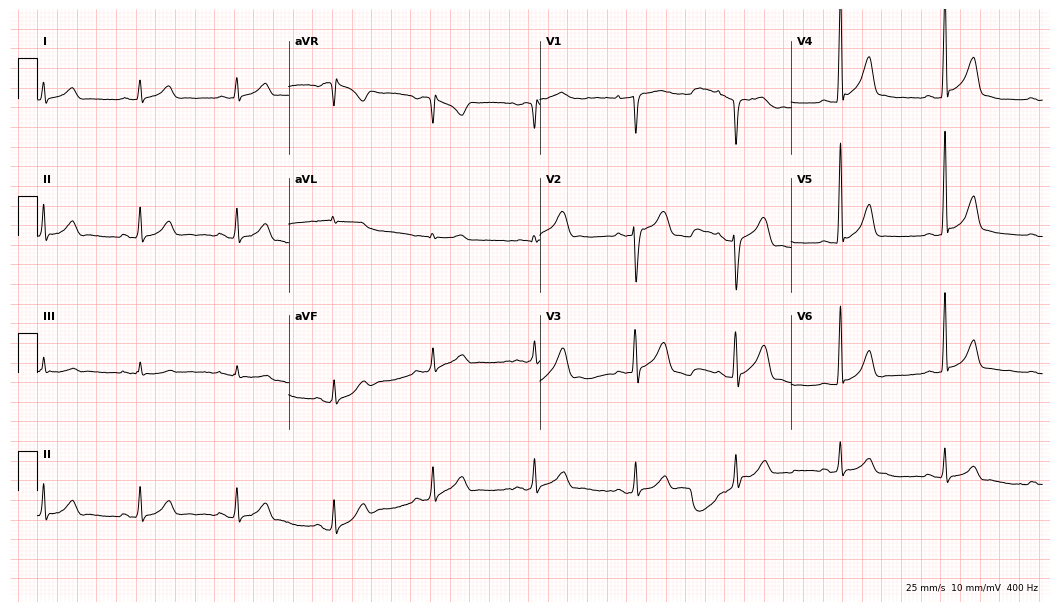
12-lead ECG (10.2-second recording at 400 Hz) from a male, 41 years old. Labelled as a normal ECG.